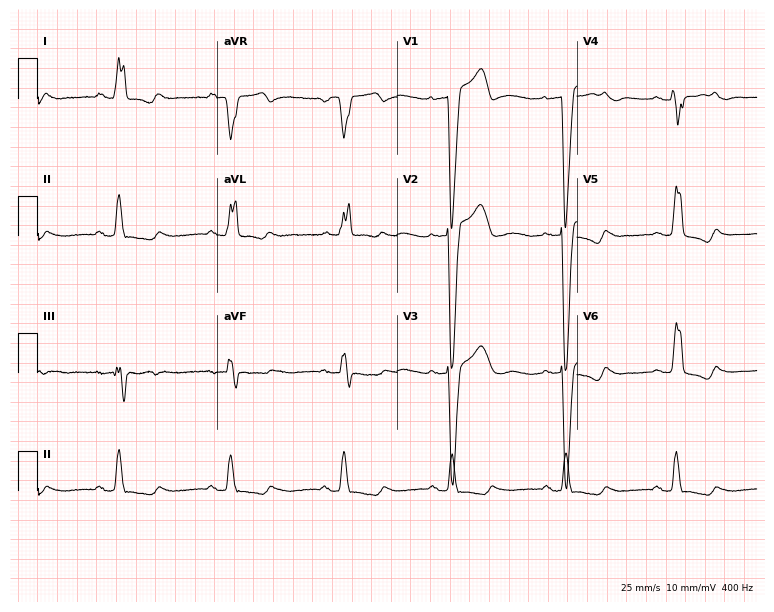
12-lead ECG (7.3-second recording at 400 Hz) from a 62-year-old female patient. Findings include left bundle branch block.